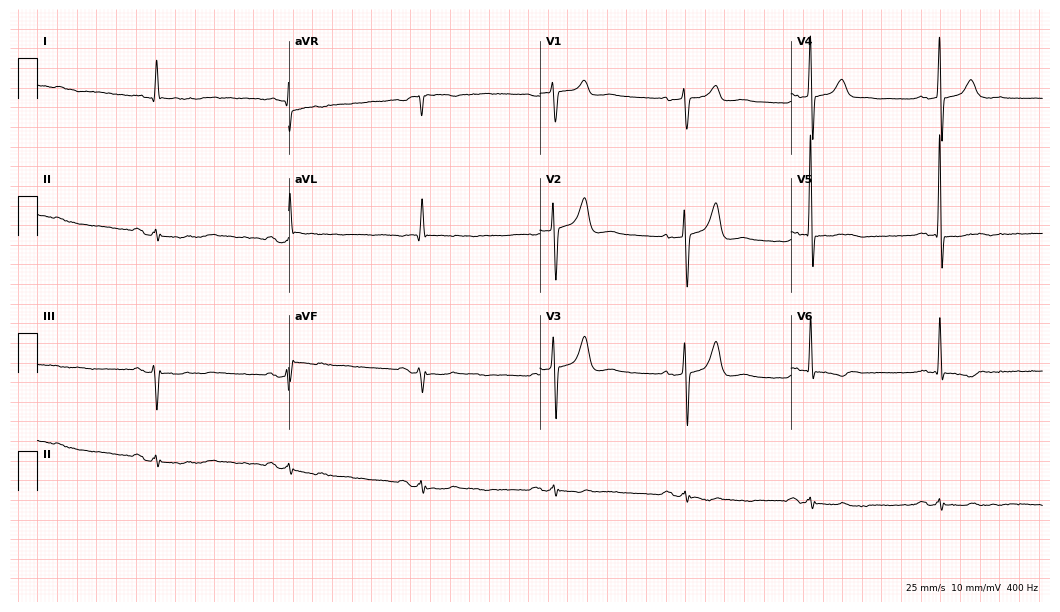
Electrocardiogram, an 81-year-old male patient. Of the six screened findings (first-degree AV block, right bundle branch block, left bundle branch block, sinus bradycardia, atrial fibrillation, sinus tachycardia), none is recorded.